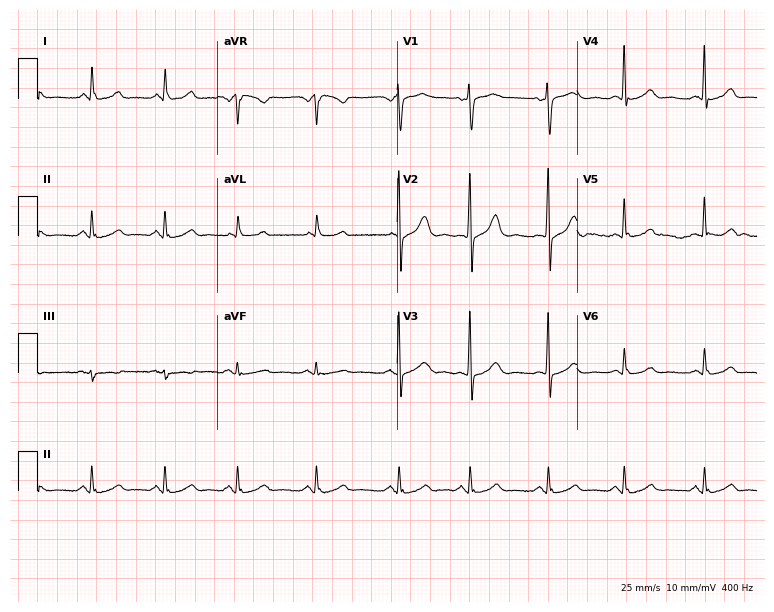
12-lead ECG from a woman, 60 years old. Recorded interpretation: within normal limits.